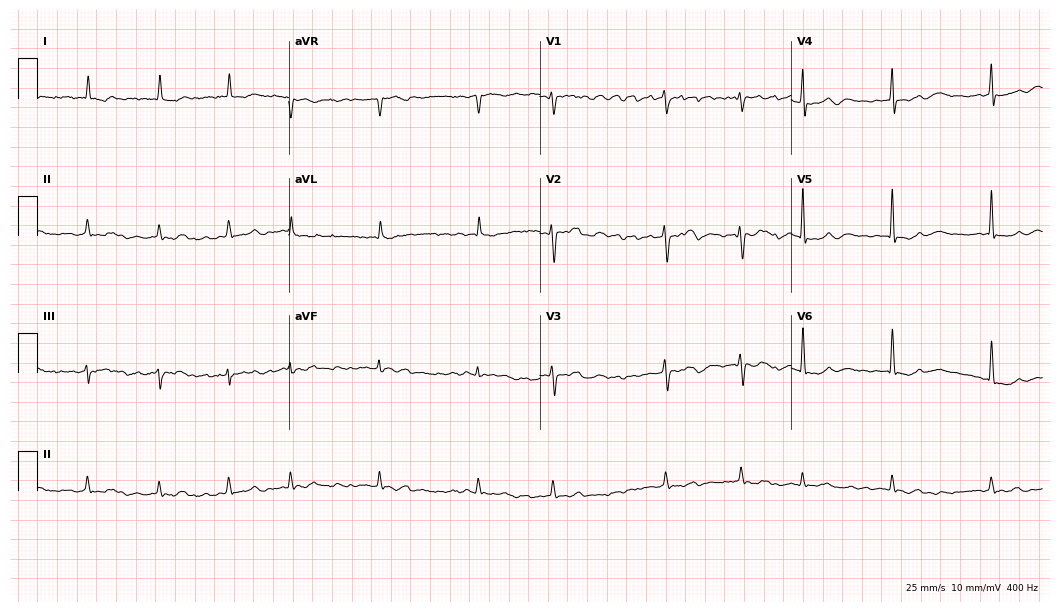
Standard 12-lead ECG recorded from a 70-year-old female patient (10.2-second recording at 400 Hz). The tracing shows atrial fibrillation.